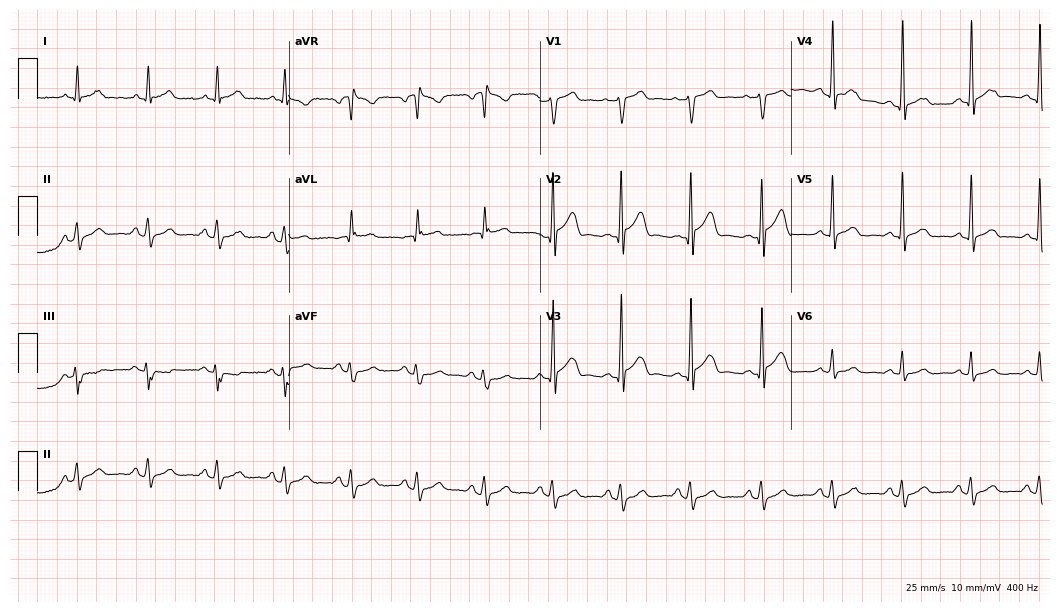
Standard 12-lead ECG recorded from a male, 51 years old (10.2-second recording at 400 Hz). Read as a normal ECG.